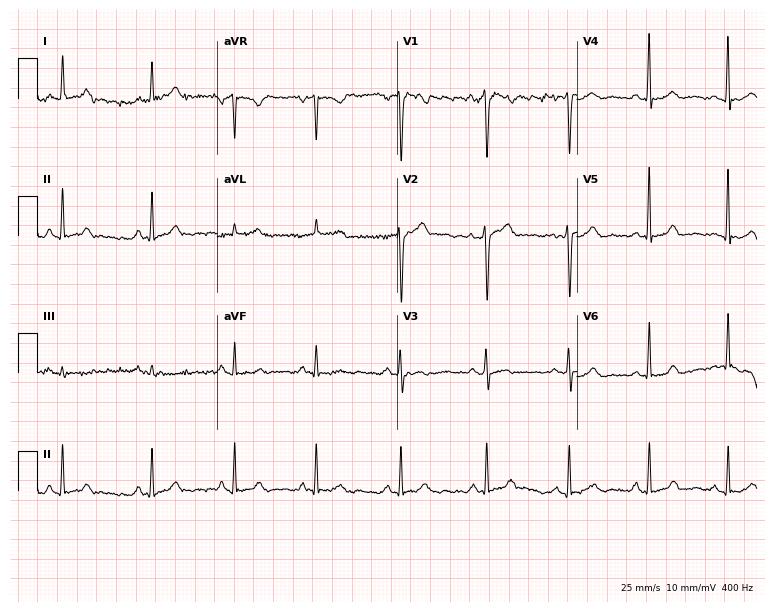
Electrocardiogram (7.3-second recording at 400 Hz), a 43-year-old female. Overall reading on record: normal ECG.